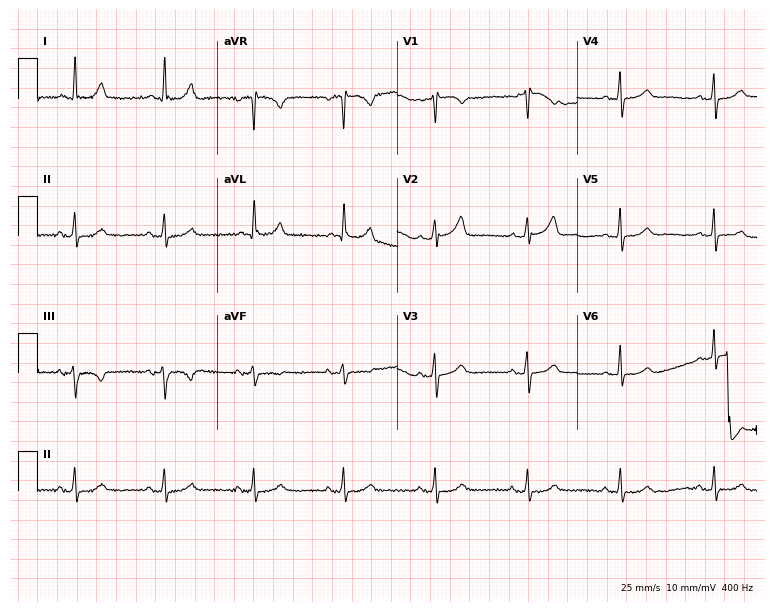
Resting 12-lead electrocardiogram. Patient: a 67-year-old woman. None of these six findings is recorded: first-degree AV block, right bundle branch block, left bundle branch block, sinus bradycardia, atrial fibrillation, sinus tachycardia.